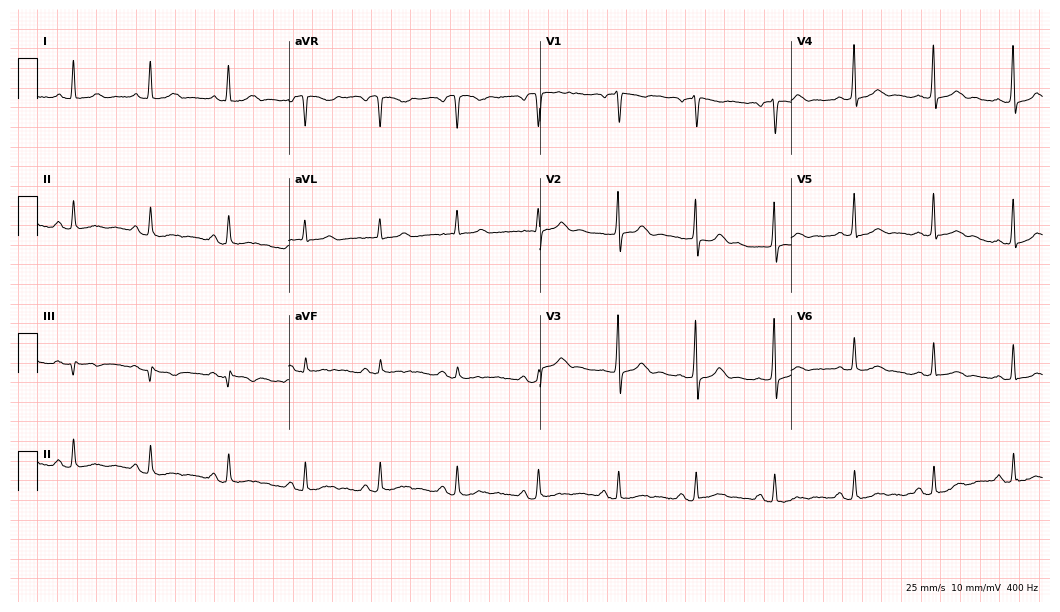
12-lead ECG (10.2-second recording at 400 Hz) from a woman, 38 years old. Labelled as a normal ECG.